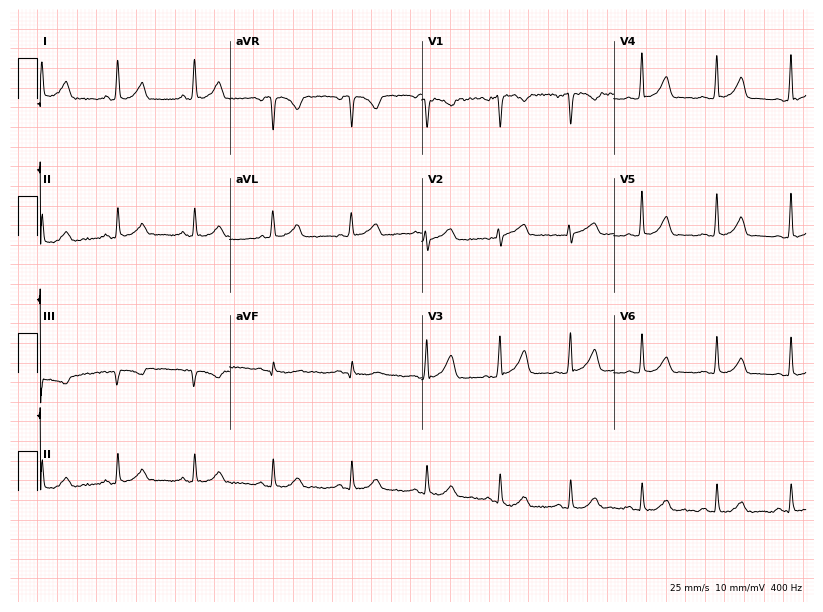
ECG — a 61-year-old woman. Labelled as a normal ECG.